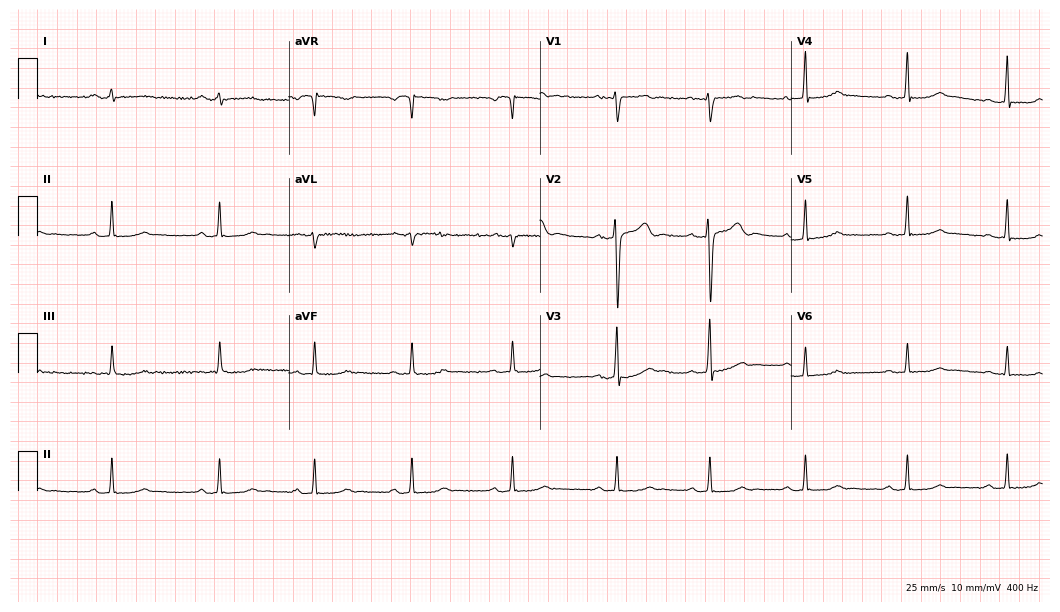
Standard 12-lead ECG recorded from a 21-year-old female. None of these six findings is recorded: first-degree AV block, right bundle branch block (RBBB), left bundle branch block (LBBB), sinus bradycardia, atrial fibrillation (AF), sinus tachycardia.